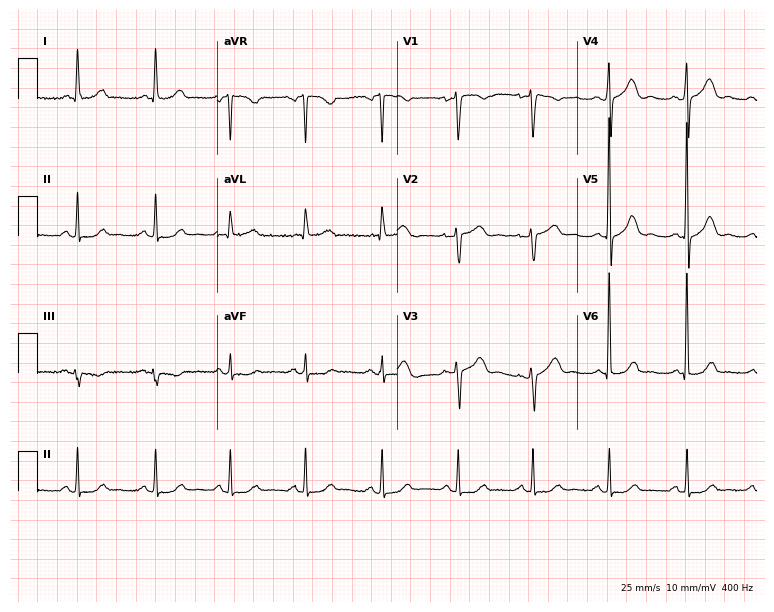
Resting 12-lead electrocardiogram (7.3-second recording at 400 Hz). Patient: a 61-year-old female. None of these six findings is recorded: first-degree AV block, right bundle branch block, left bundle branch block, sinus bradycardia, atrial fibrillation, sinus tachycardia.